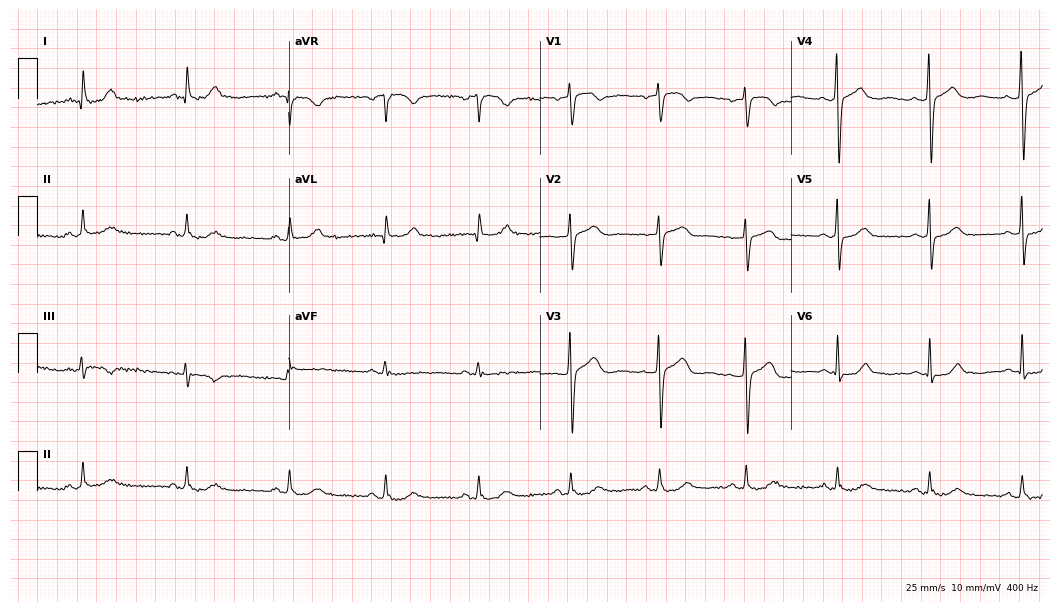
12-lead ECG from a female patient, 54 years old (10.2-second recording at 400 Hz). Recorded interpretation: within normal limits.